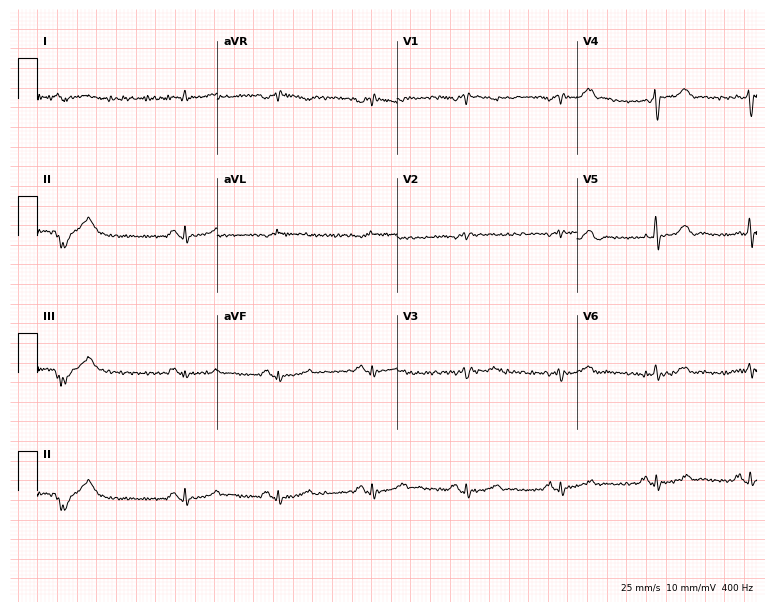
12-lead ECG from a male, 67 years old. Screened for six findings — first-degree AV block, right bundle branch block, left bundle branch block, sinus bradycardia, atrial fibrillation, sinus tachycardia — none is recorded.